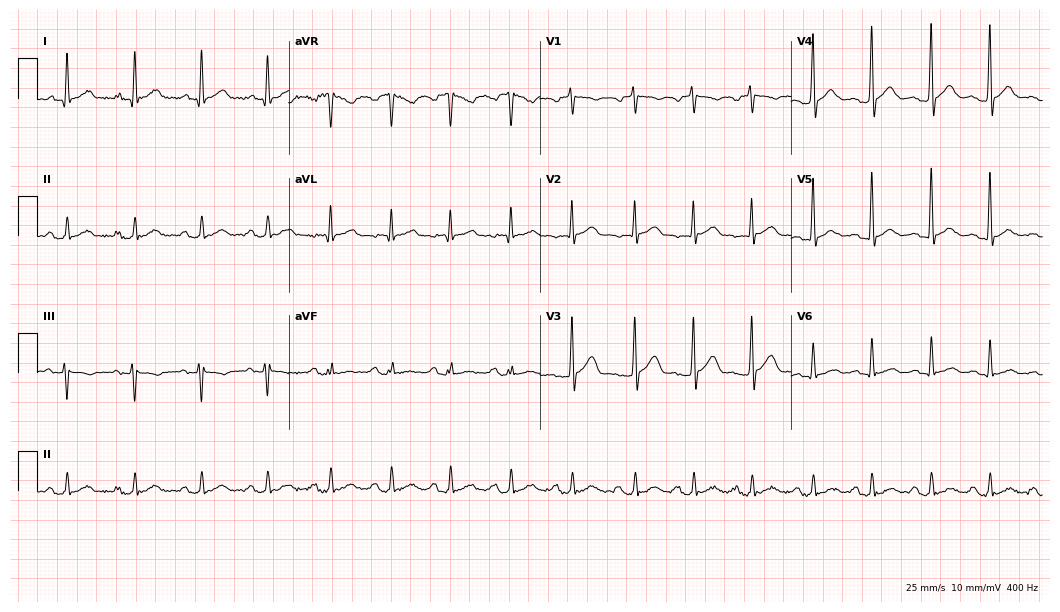
ECG — a 44-year-old male. Labelled as a normal ECG.